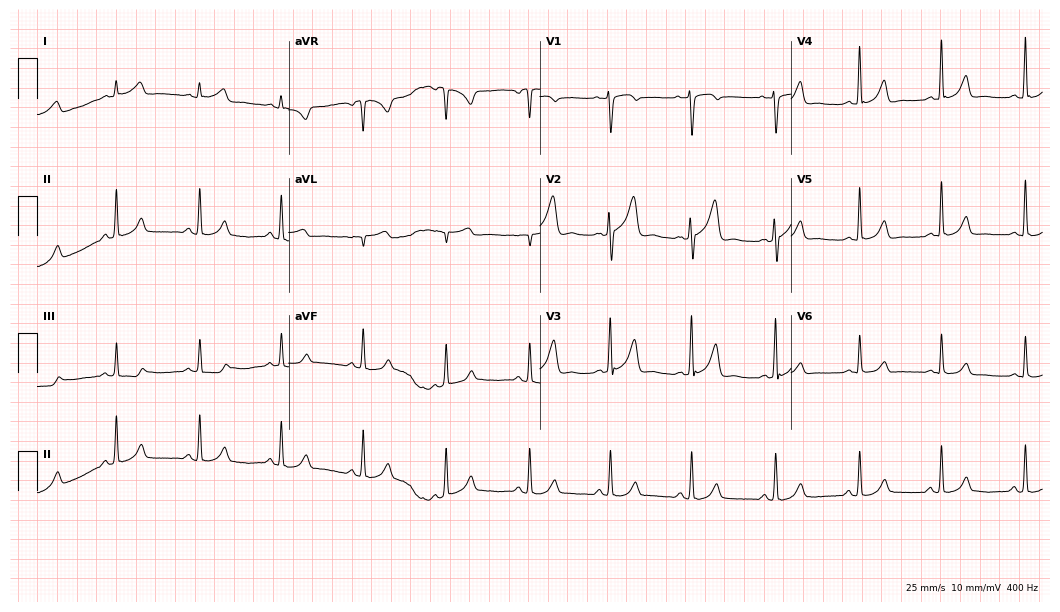
12-lead ECG (10.2-second recording at 400 Hz) from a 35-year-old male patient. Labelled as a normal ECG.